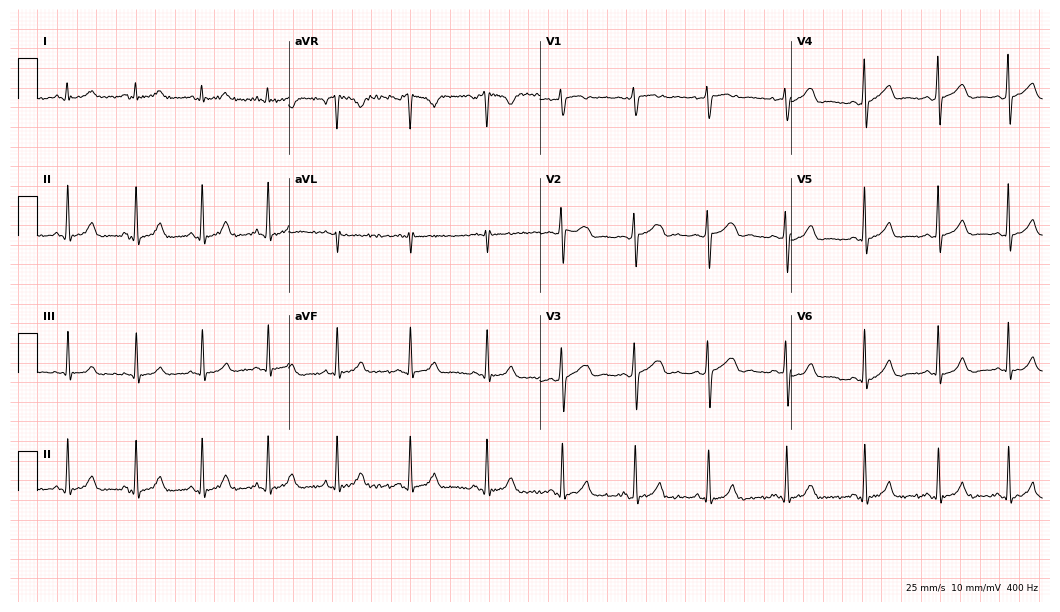
12-lead ECG (10.2-second recording at 400 Hz) from a female, 23 years old. Labelled as a normal ECG.